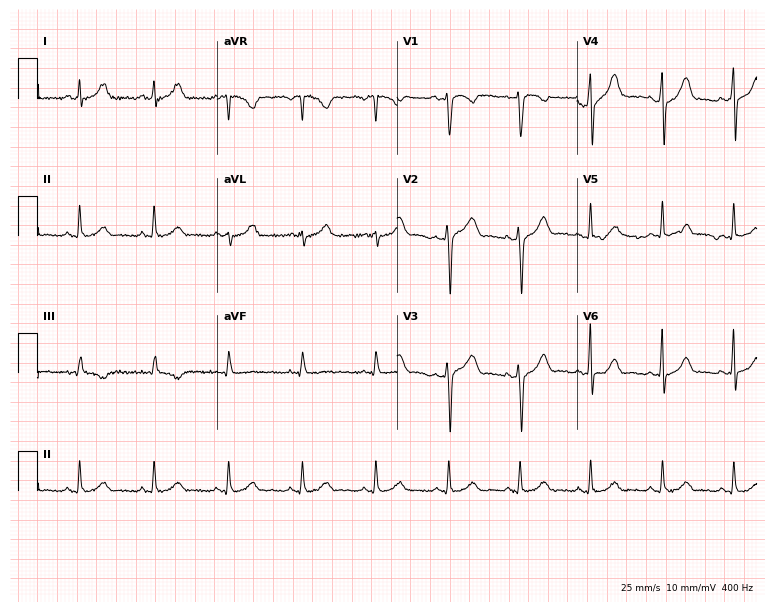
Standard 12-lead ECG recorded from a 28-year-old female patient (7.3-second recording at 400 Hz). None of these six findings is recorded: first-degree AV block, right bundle branch block, left bundle branch block, sinus bradycardia, atrial fibrillation, sinus tachycardia. Other findings, if any, are not listed.